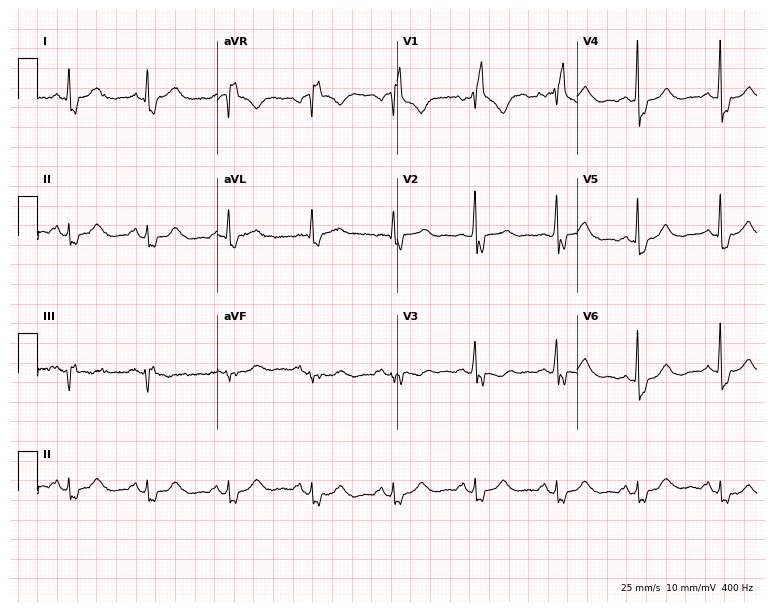
12-lead ECG from a 62-year-old woman. Screened for six findings — first-degree AV block, right bundle branch block, left bundle branch block, sinus bradycardia, atrial fibrillation, sinus tachycardia — none is recorded. Only these six findings were labelled.